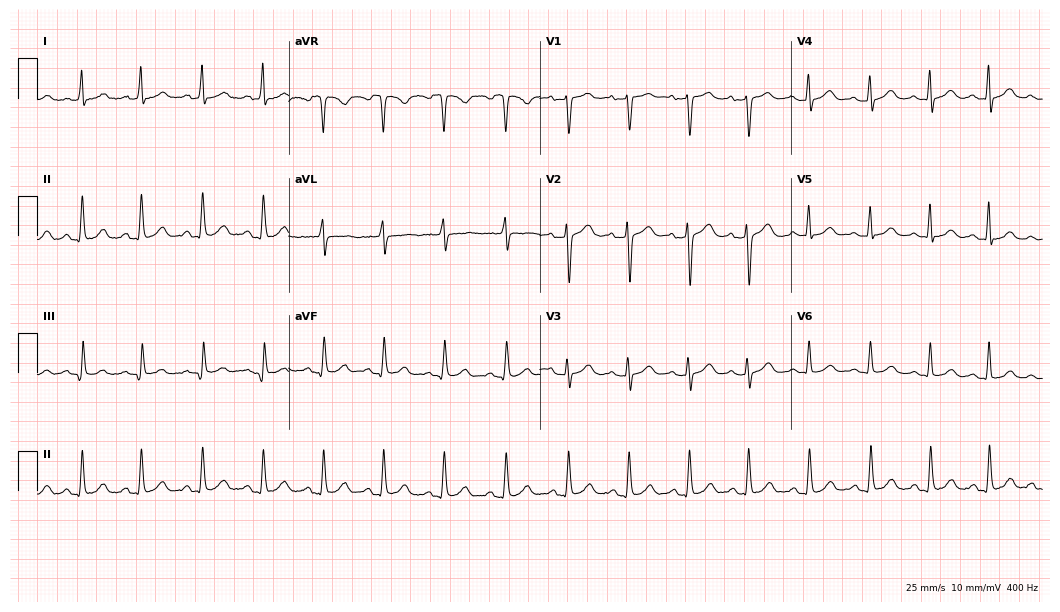
Resting 12-lead electrocardiogram. Patient: a female, 51 years old. Read as a normal ECG.